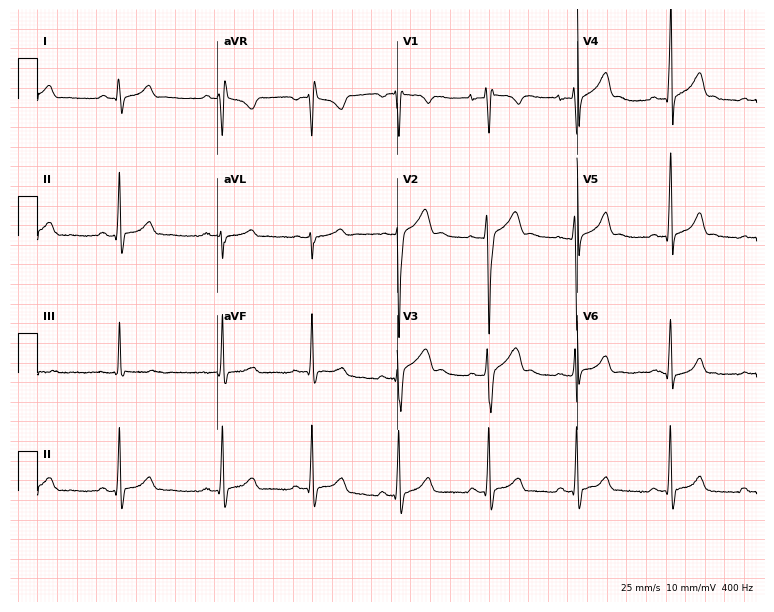
12-lead ECG (7.3-second recording at 400 Hz) from a male patient, 17 years old. Labelled as a normal ECG.